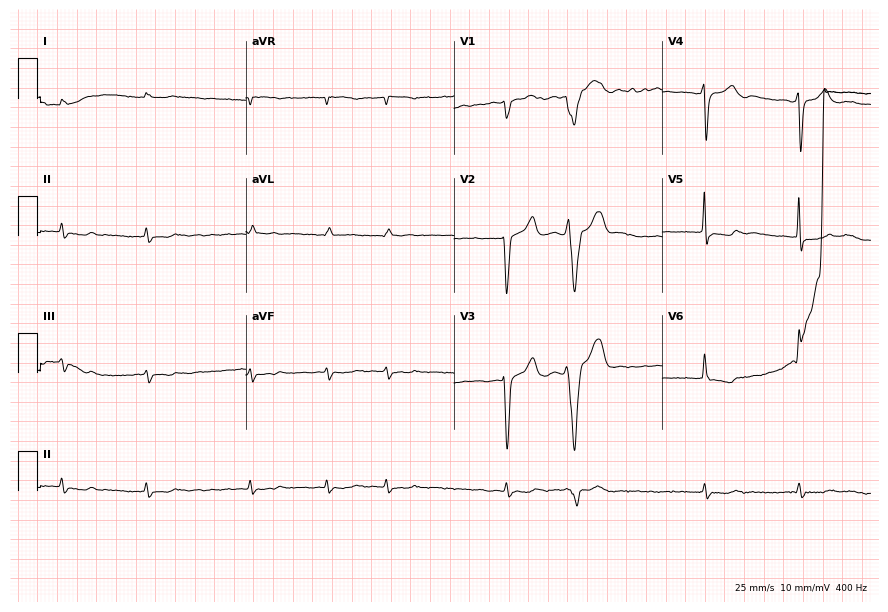
12-lead ECG from a 79-year-old male (8.5-second recording at 400 Hz). Shows atrial fibrillation (AF).